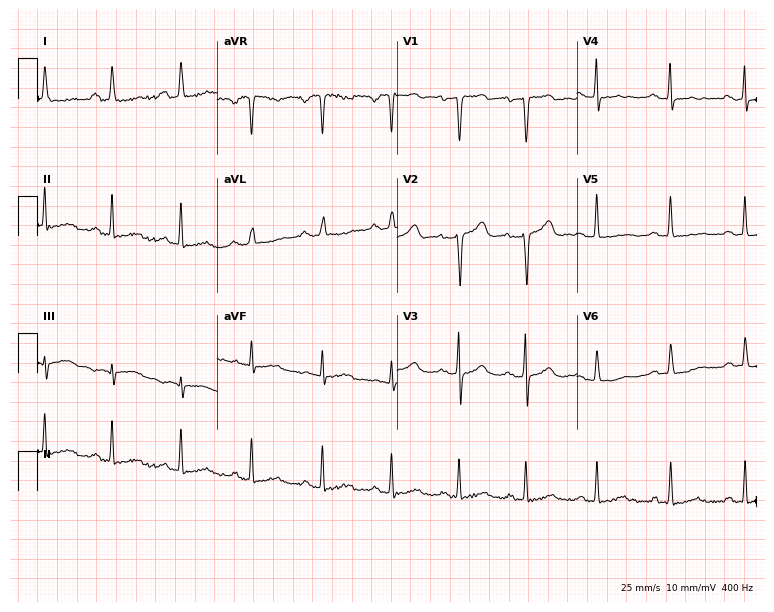
Electrocardiogram, a female patient, 65 years old. Of the six screened findings (first-degree AV block, right bundle branch block, left bundle branch block, sinus bradycardia, atrial fibrillation, sinus tachycardia), none is recorded. Only these six findings were labelled.